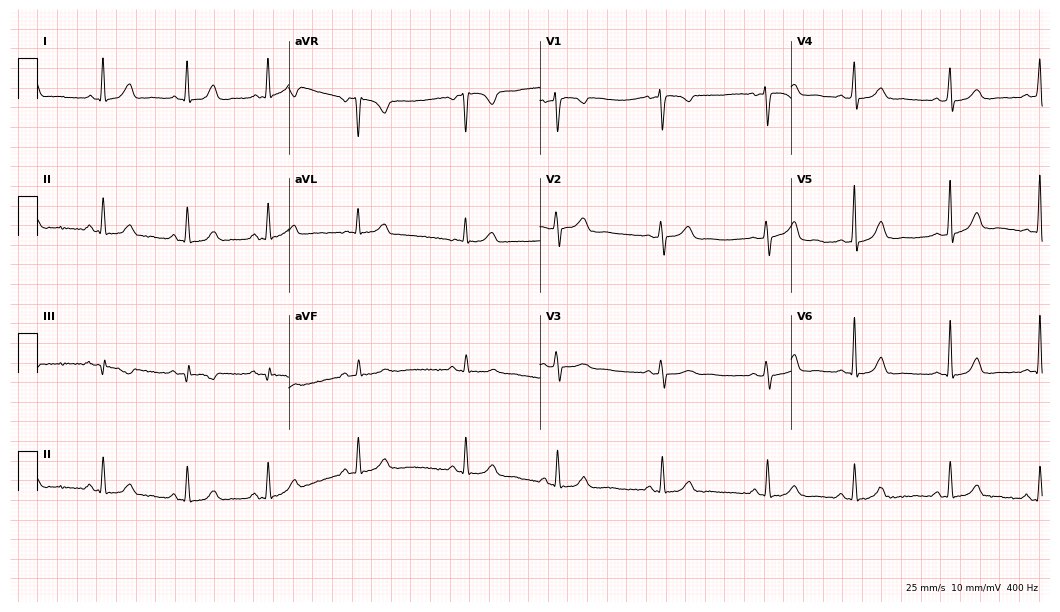
Electrocardiogram (10.2-second recording at 400 Hz), a 39-year-old woman. Overall reading on record: normal ECG.